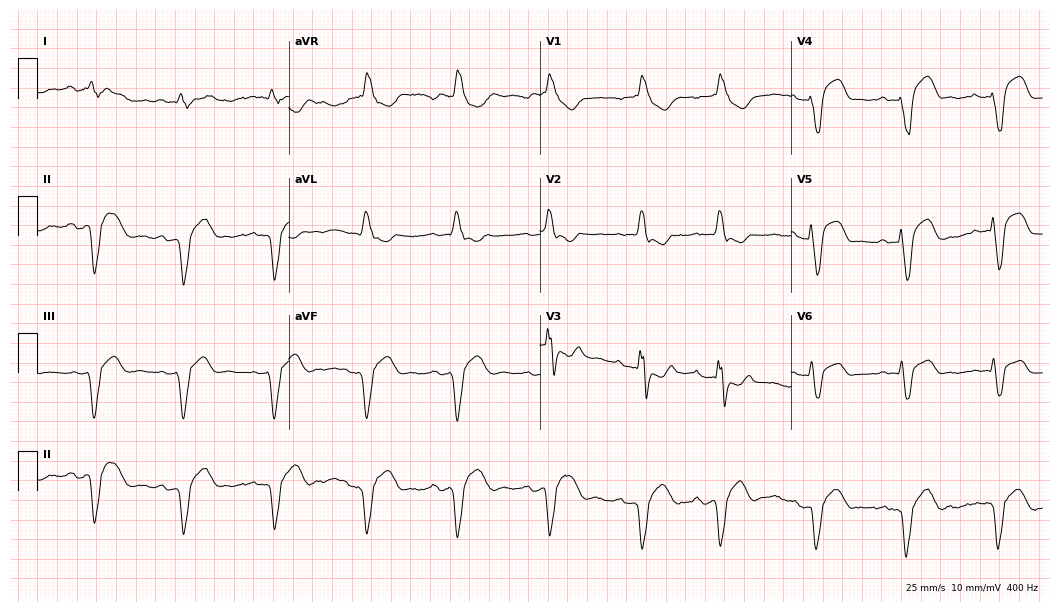
Resting 12-lead electrocardiogram. Patient: a 78-year-old man. The tracing shows right bundle branch block, left bundle branch block.